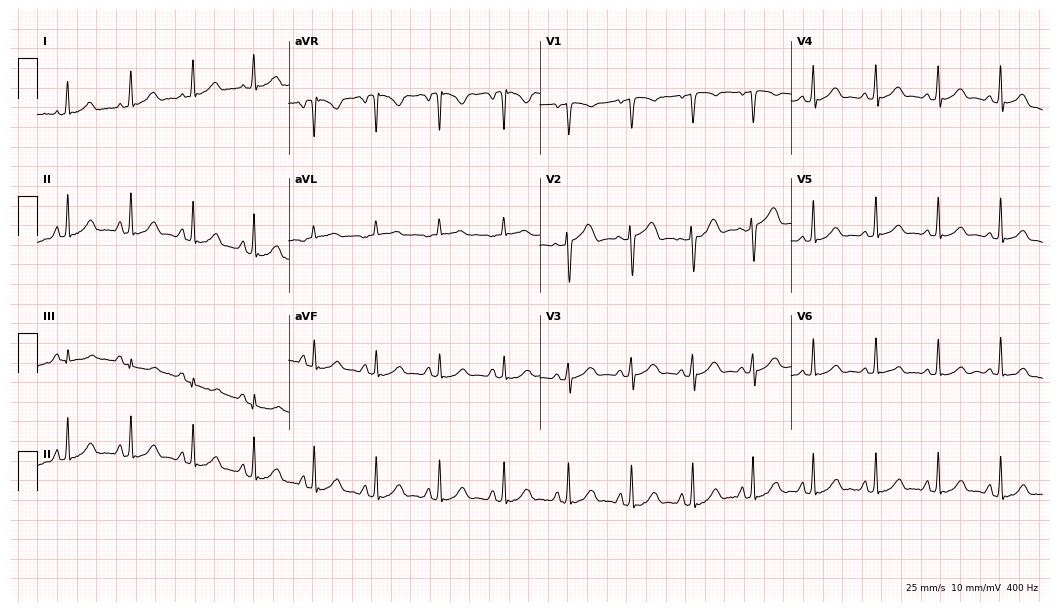
Electrocardiogram (10.2-second recording at 400 Hz), a 46-year-old female patient. Overall reading on record: normal ECG.